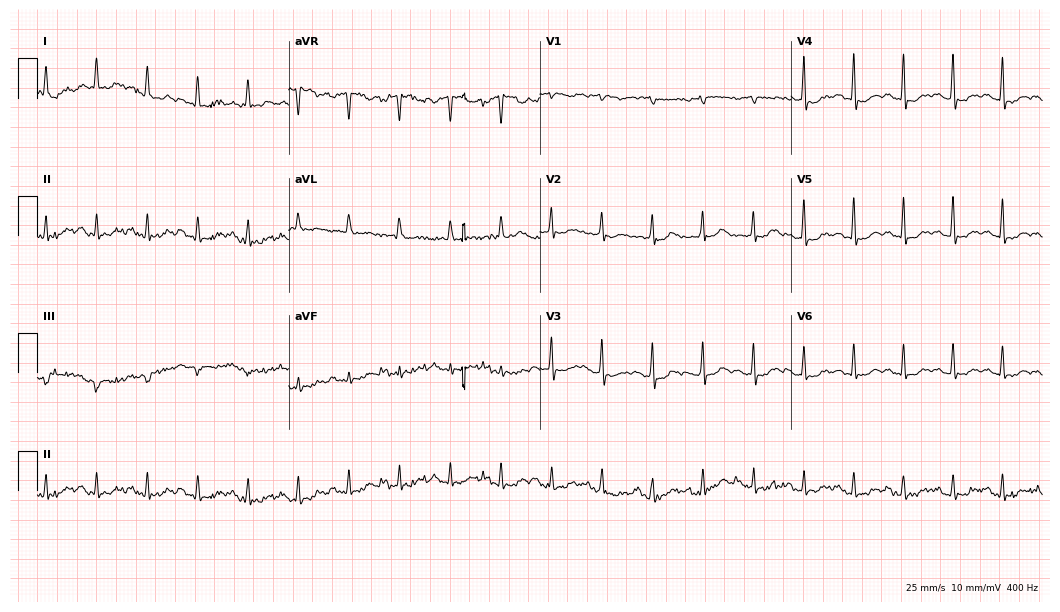
Standard 12-lead ECG recorded from a female, 79 years old (10.2-second recording at 400 Hz). None of these six findings is recorded: first-degree AV block, right bundle branch block, left bundle branch block, sinus bradycardia, atrial fibrillation, sinus tachycardia. Only these six findings were labelled.